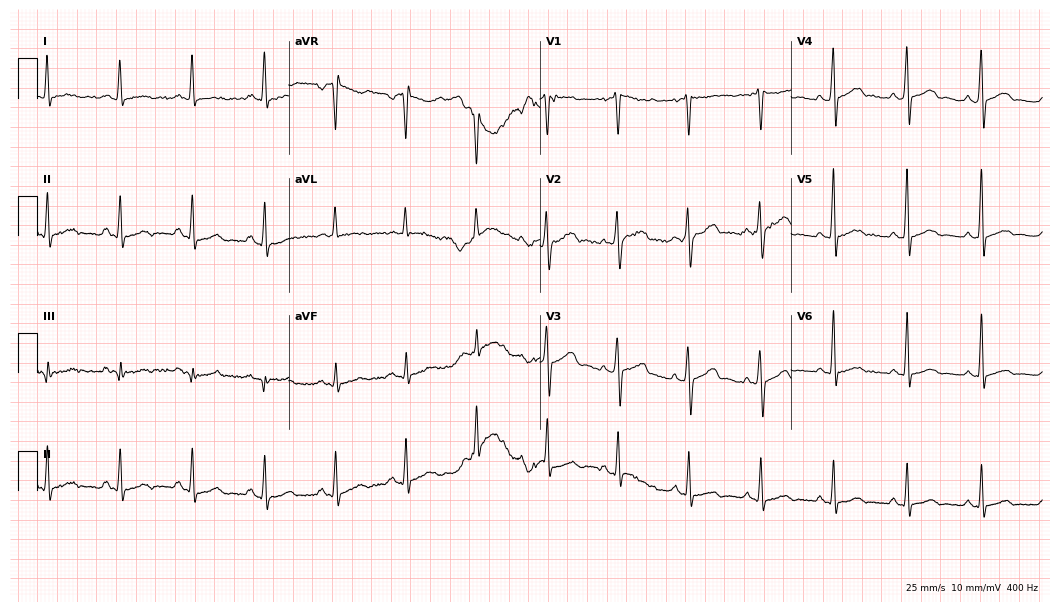
12-lead ECG (10.2-second recording at 400 Hz) from a 40-year-old male. Screened for six findings — first-degree AV block, right bundle branch block, left bundle branch block, sinus bradycardia, atrial fibrillation, sinus tachycardia — none is recorded. Other findings, if any, are not listed.